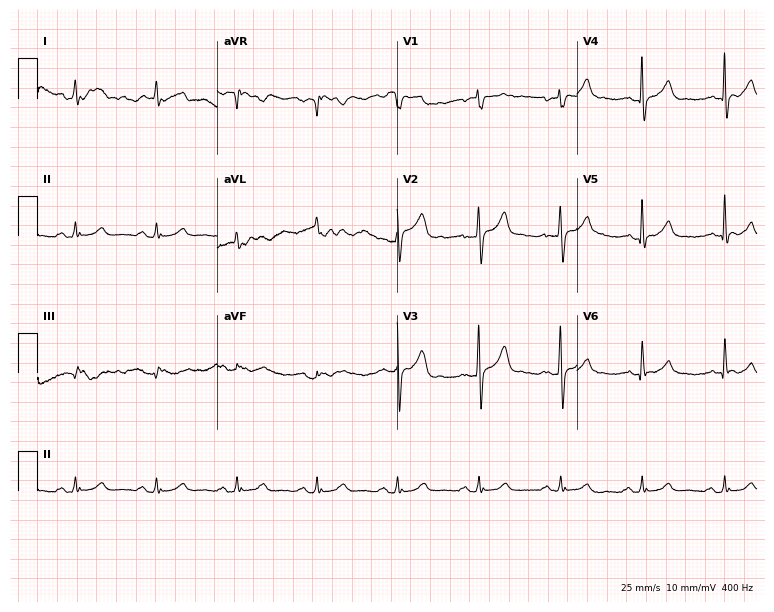
Standard 12-lead ECG recorded from a 62-year-old man (7.3-second recording at 400 Hz). None of these six findings is recorded: first-degree AV block, right bundle branch block, left bundle branch block, sinus bradycardia, atrial fibrillation, sinus tachycardia.